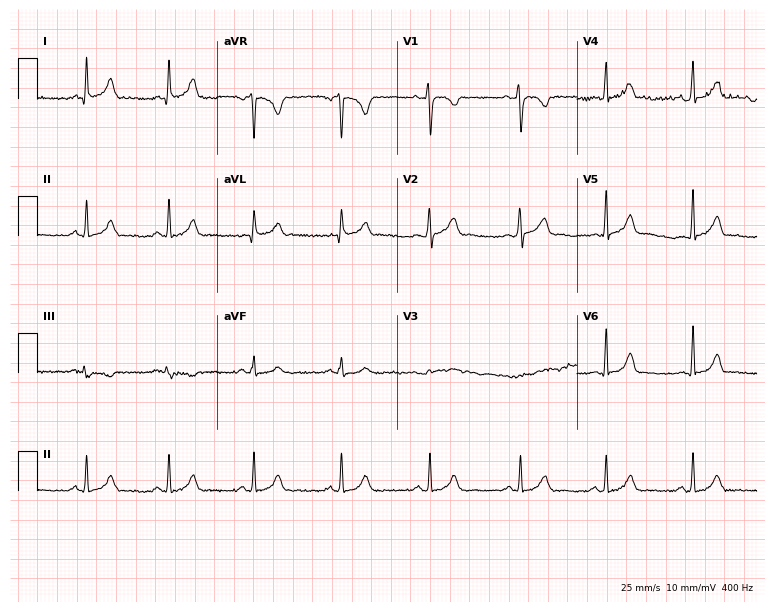
12-lead ECG from a female, 31 years old (7.3-second recording at 400 Hz). Recorded interpretation: within normal limits.